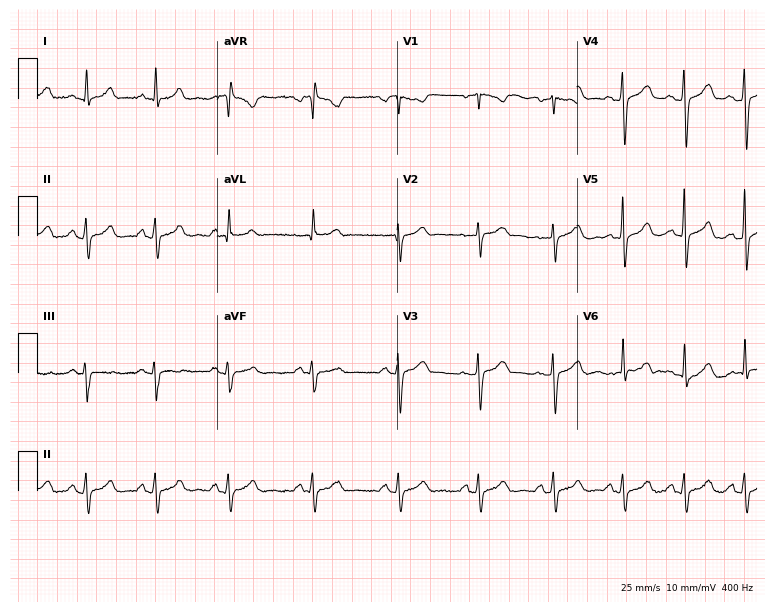
Electrocardiogram, a 30-year-old female patient. Of the six screened findings (first-degree AV block, right bundle branch block (RBBB), left bundle branch block (LBBB), sinus bradycardia, atrial fibrillation (AF), sinus tachycardia), none is recorded.